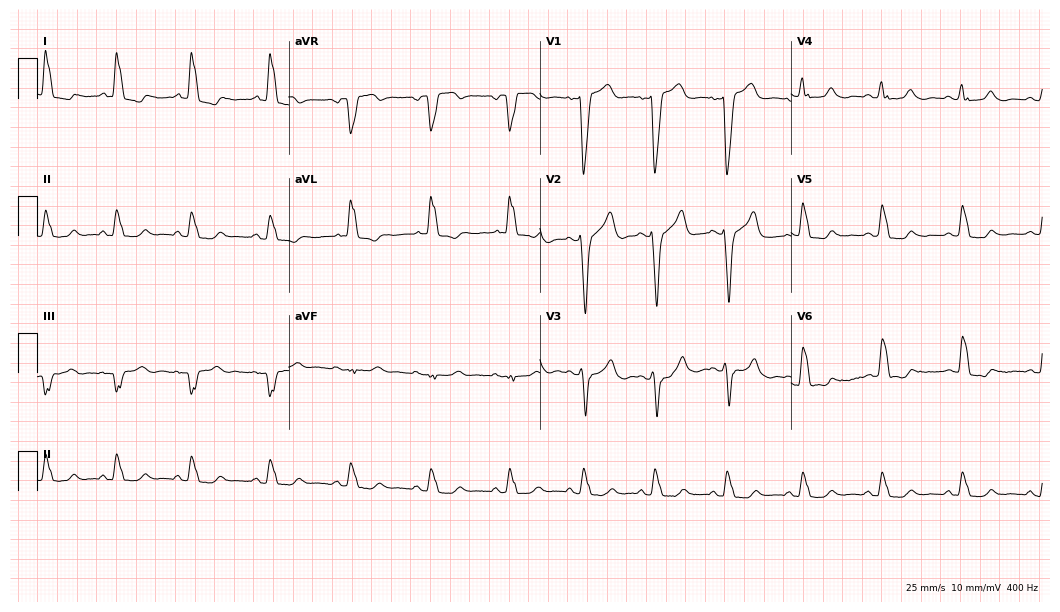
Electrocardiogram, a 50-year-old female. Interpretation includes left bundle branch block.